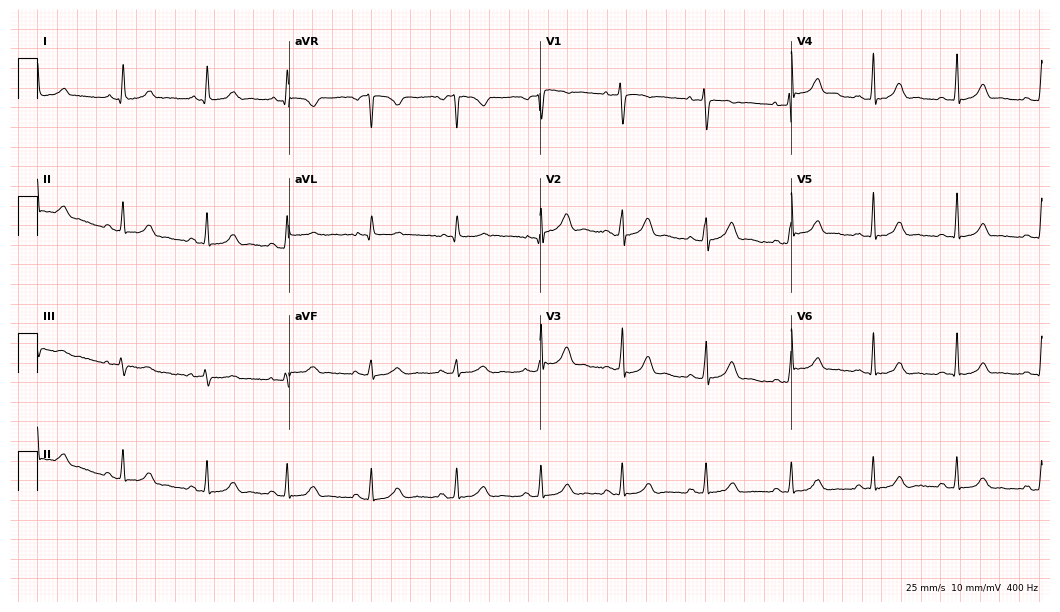
12-lead ECG from a 27-year-old female patient. Labelled as a normal ECG.